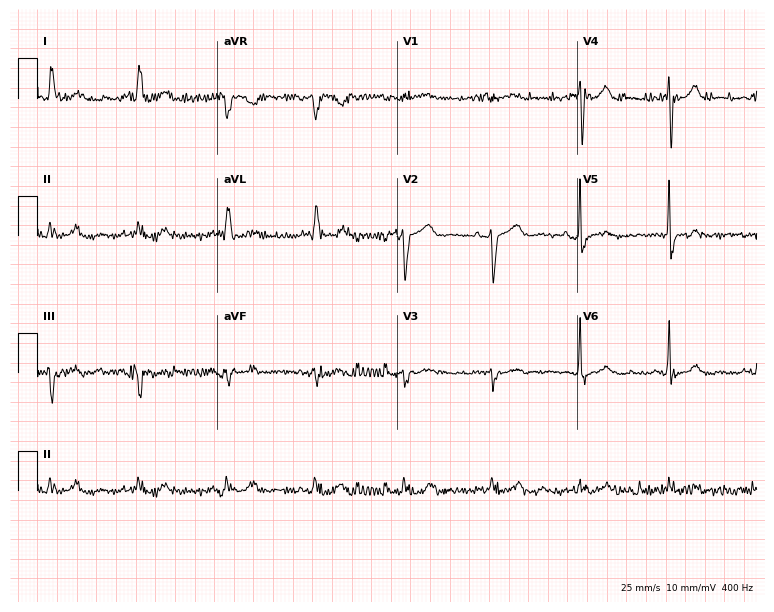
12-lead ECG (7.3-second recording at 400 Hz) from a 79-year-old female. Screened for six findings — first-degree AV block, right bundle branch block, left bundle branch block, sinus bradycardia, atrial fibrillation, sinus tachycardia — none is recorded. Findings outside these six are not listed.